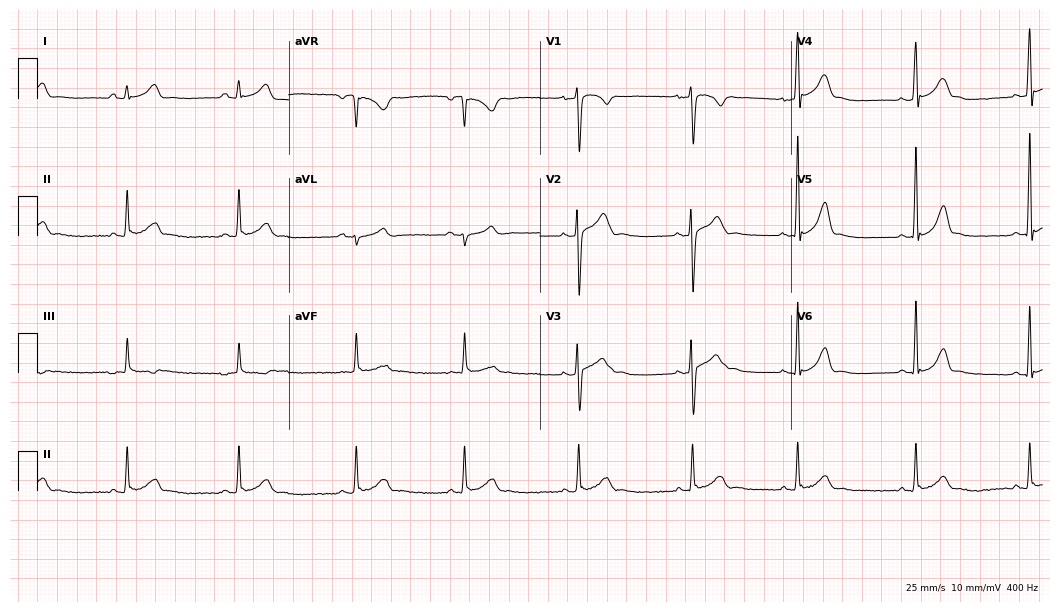
Electrocardiogram (10.2-second recording at 400 Hz), a 17-year-old man. Of the six screened findings (first-degree AV block, right bundle branch block (RBBB), left bundle branch block (LBBB), sinus bradycardia, atrial fibrillation (AF), sinus tachycardia), none is recorded.